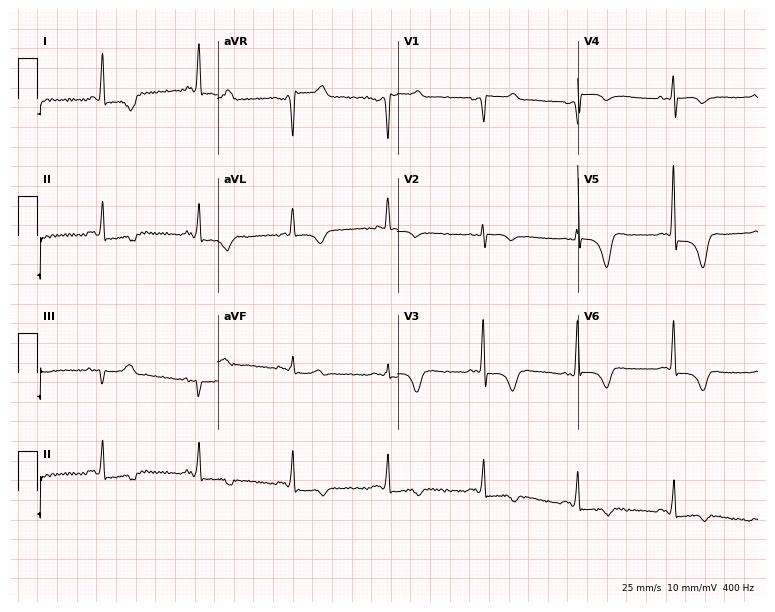
Electrocardiogram (7.3-second recording at 400 Hz), a male, 77 years old. Of the six screened findings (first-degree AV block, right bundle branch block (RBBB), left bundle branch block (LBBB), sinus bradycardia, atrial fibrillation (AF), sinus tachycardia), none is recorded.